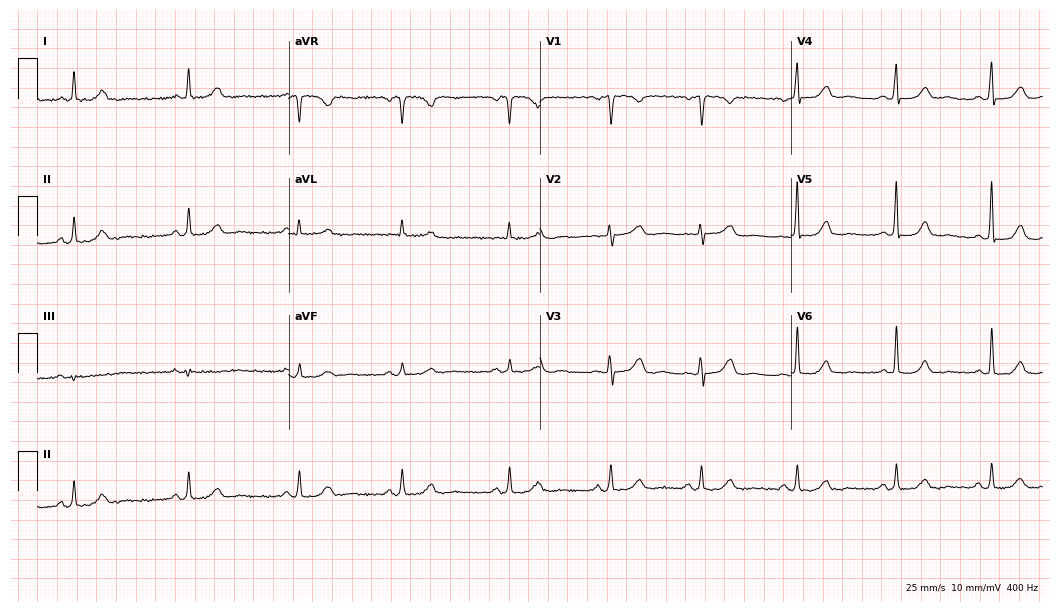
ECG — a woman, 49 years old. Labelled as a normal ECG.